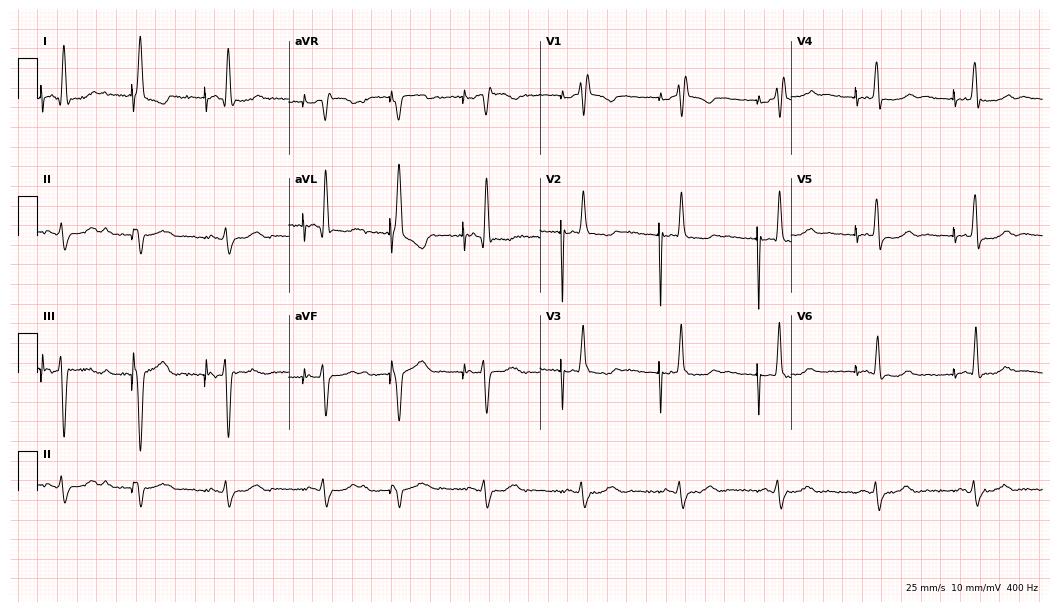
Electrocardiogram (10.2-second recording at 400 Hz), an 84-year-old male patient. Of the six screened findings (first-degree AV block, right bundle branch block, left bundle branch block, sinus bradycardia, atrial fibrillation, sinus tachycardia), none is recorded.